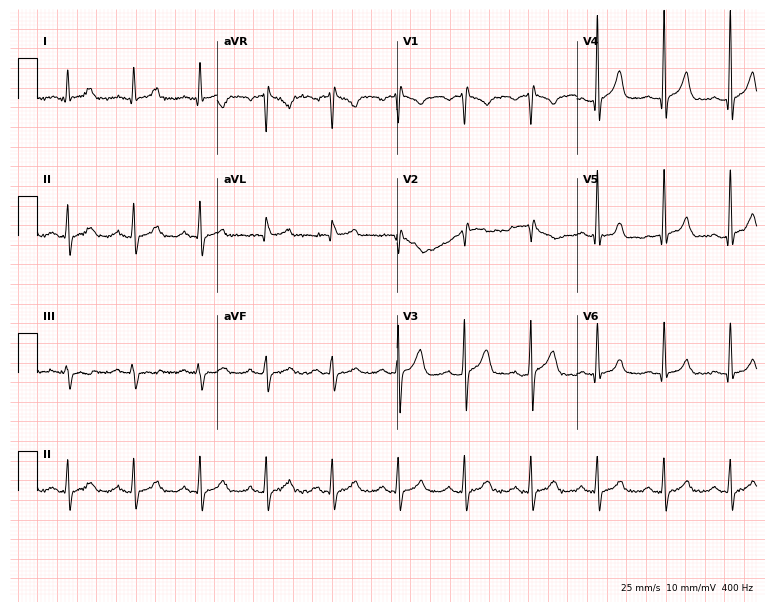
Standard 12-lead ECG recorded from a man, 36 years old. None of these six findings is recorded: first-degree AV block, right bundle branch block (RBBB), left bundle branch block (LBBB), sinus bradycardia, atrial fibrillation (AF), sinus tachycardia.